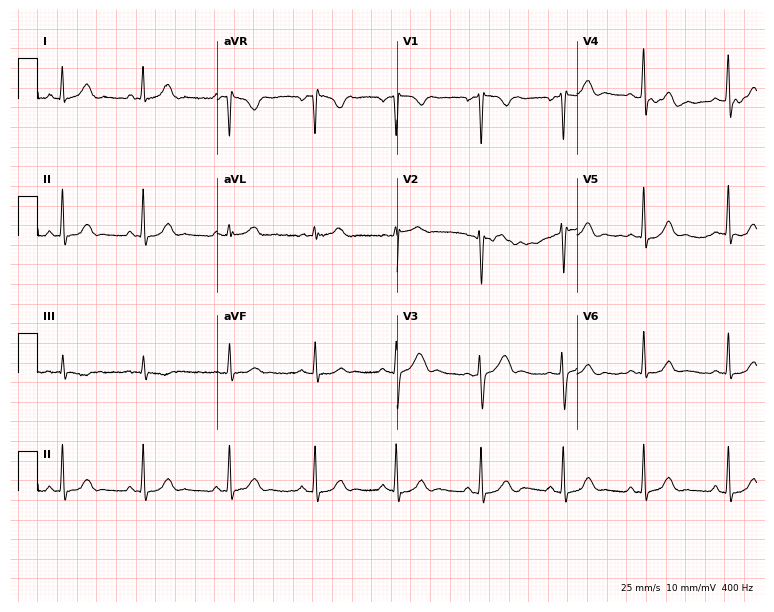
12-lead ECG (7.3-second recording at 400 Hz) from a woman, 43 years old. Labelled as a normal ECG.